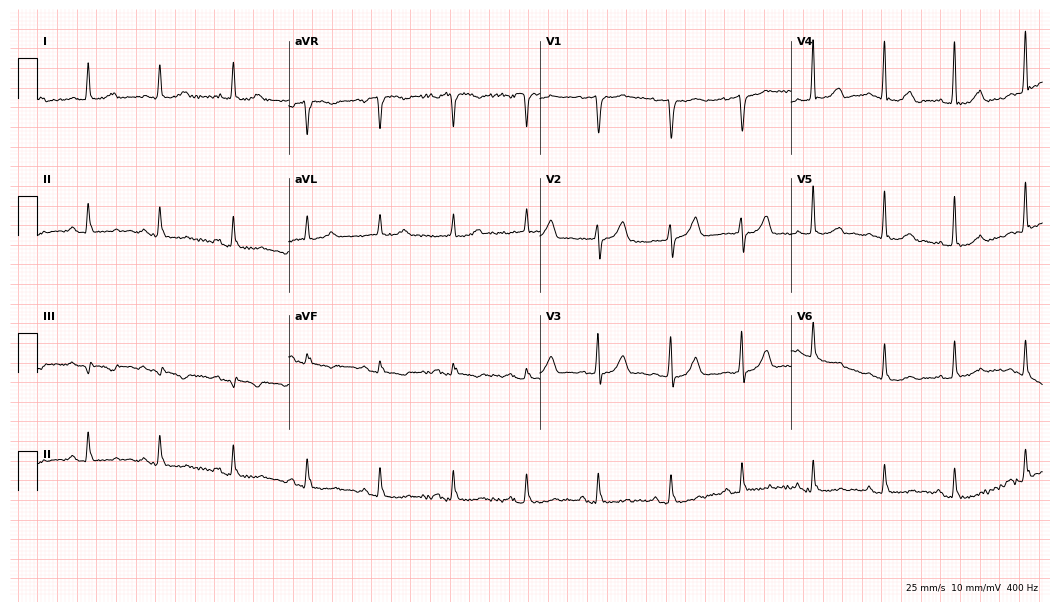
12-lead ECG from a 66-year-old woman (10.2-second recording at 400 Hz). Recorded interpretation: within normal limits.